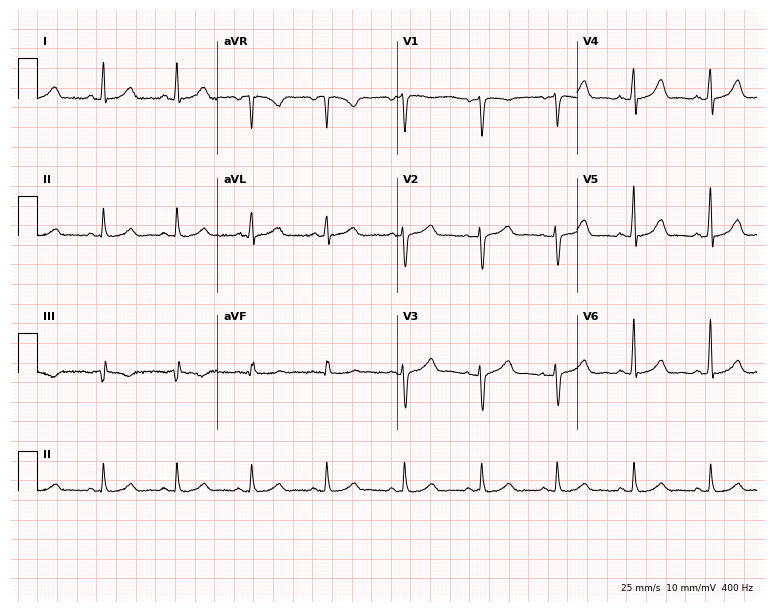
Electrocardiogram (7.3-second recording at 400 Hz), a 58-year-old woman. Overall reading on record: normal ECG.